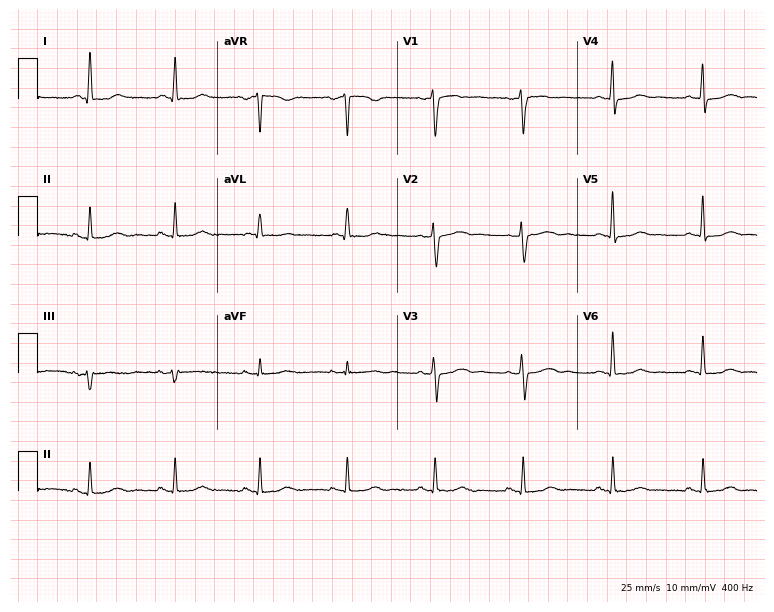
12-lead ECG from a female patient, 57 years old. Screened for six findings — first-degree AV block, right bundle branch block, left bundle branch block, sinus bradycardia, atrial fibrillation, sinus tachycardia — none is recorded. Findings outside these six are not listed.